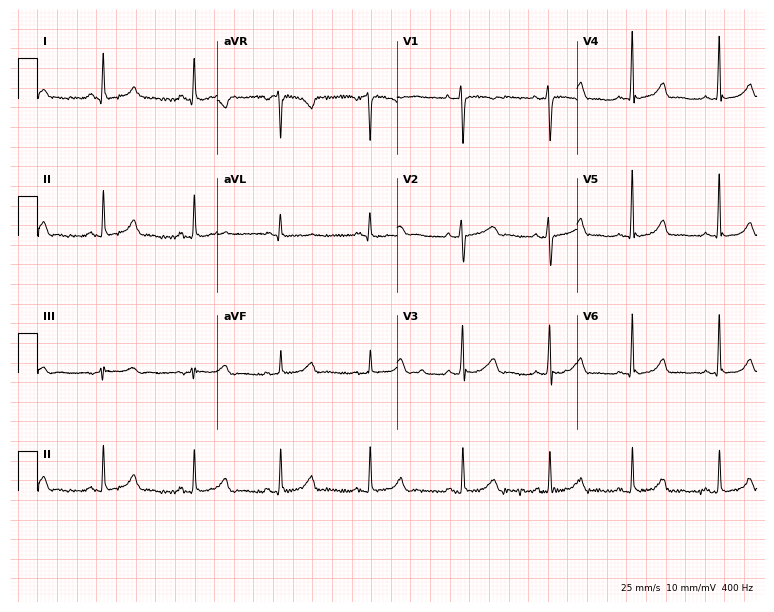
Electrocardiogram, a female, 26 years old. Overall reading on record: normal ECG.